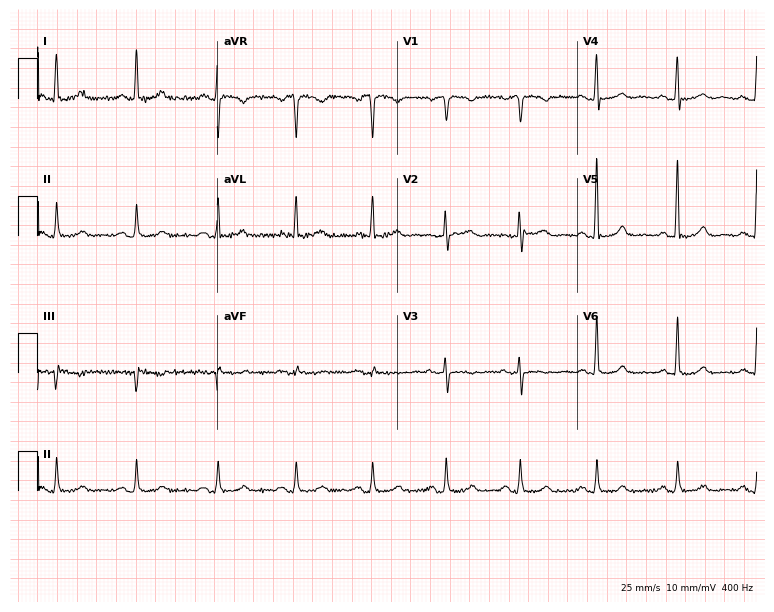
Resting 12-lead electrocardiogram. Patient: a woman, 70 years old. Read as a normal ECG.